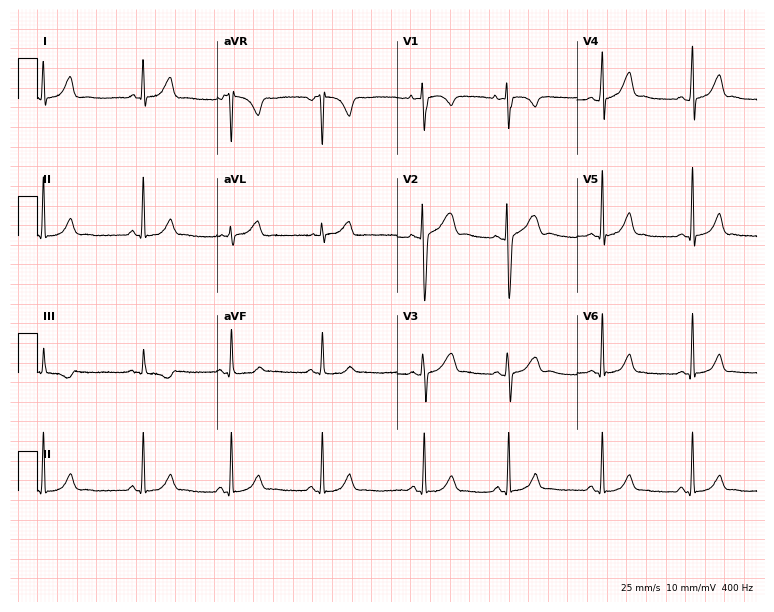
12-lead ECG from a female, 22 years old (7.3-second recording at 400 Hz). No first-degree AV block, right bundle branch block (RBBB), left bundle branch block (LBBB), sinus bradycardia, atrial fibrillation (AF) or sinus tachycardia recorded for this tracing. Findings outside these six are not listed.